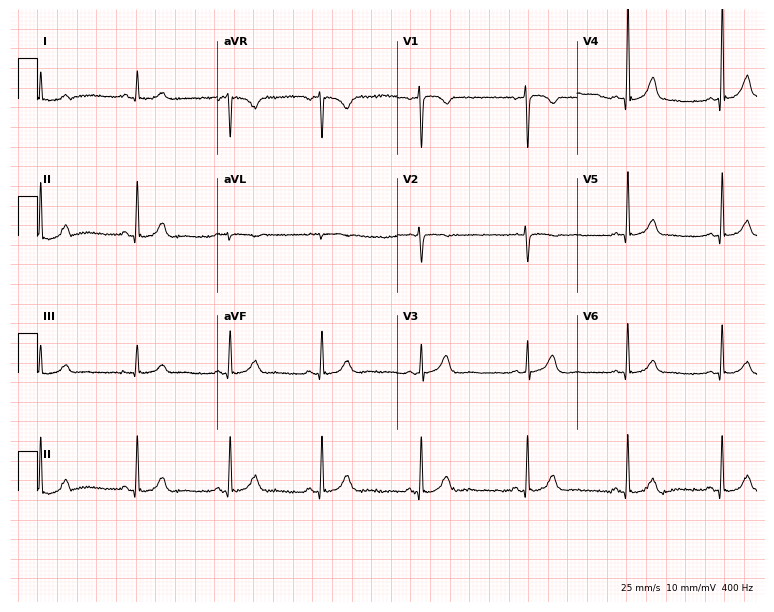
Resting 12-lead electrocardiogram. Patient: a 50-year-old woman. None of these six findings is recorded: first-degree AV block, right bundle branch block (RBBB), left bundle branch block (LBBB), sinus bradycardia, atrial fibrillation (AF), sinus tachycardia. Only these six findings were labelled.